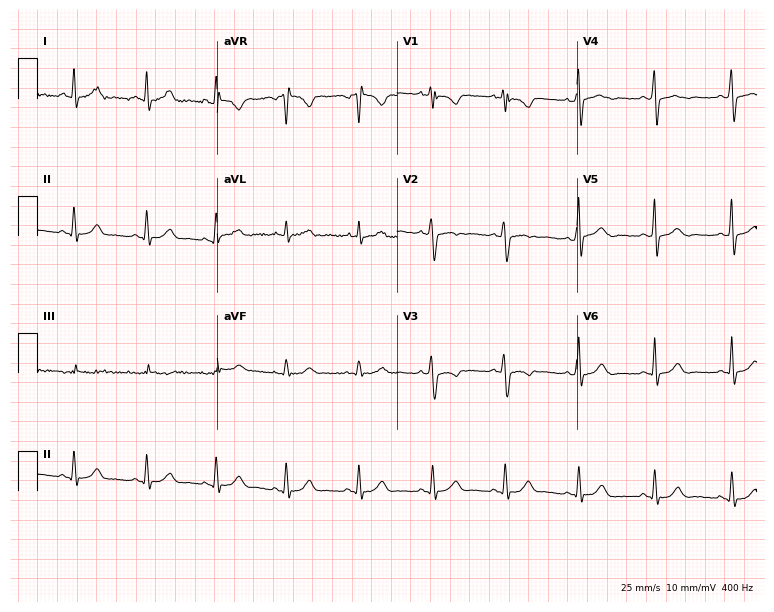
12-lead ECG from a female, 37 years old (7.3-second recording at 400 Hz). No first-degree AV block, right bundle branch block, left bundle branch block, sinus bradycardia, atrial fibrillation or sinus tachycardia recorded for this tracing. Findings outside these six are not listed.